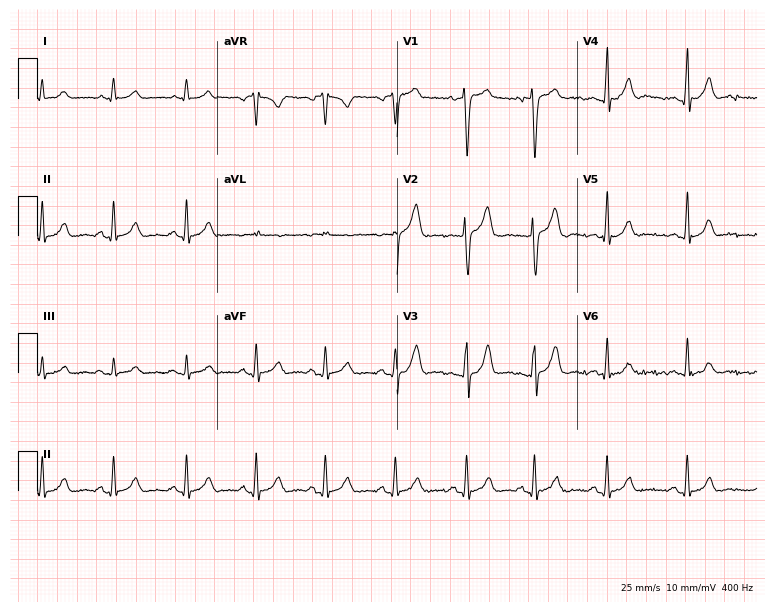
Resting 12-lead electrocardiogram. Patient: a man, 25 years old. Read as a normal ECG.